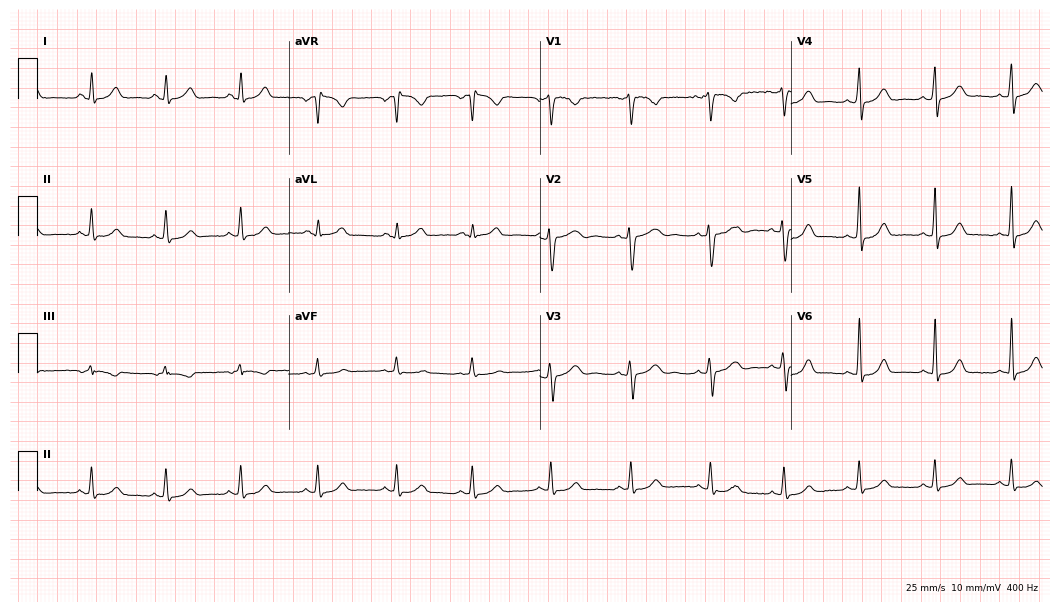
12-lead ECG from a 28-year-old woman. No first-degree AV block, right bundle branch block, left bundle branch block, sinus bradycardia, atrial fibrillation or sinus tachycardia recorded for this tracing. Only these six findings were labelled.